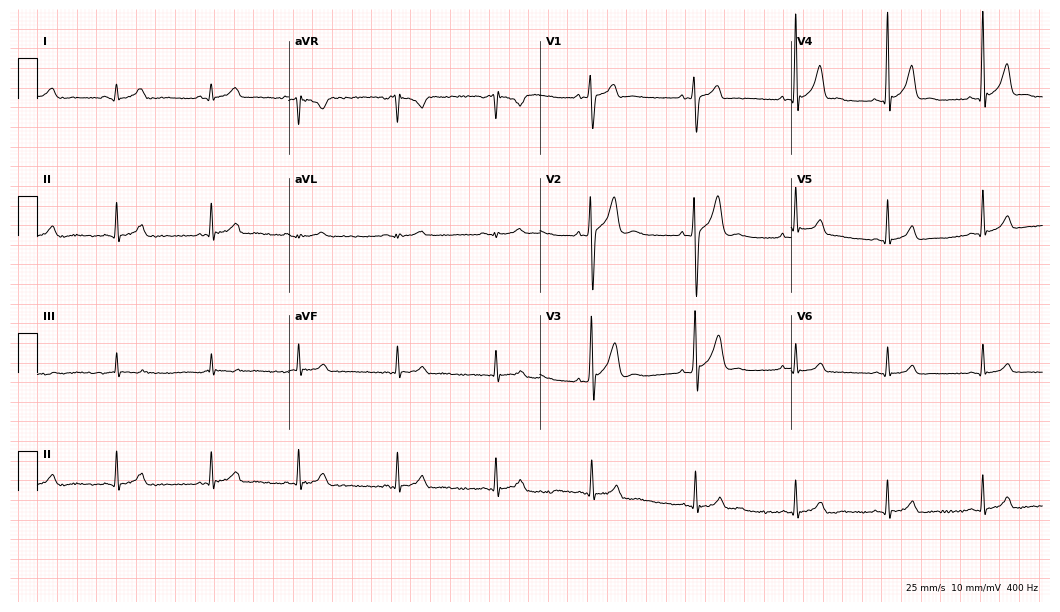
ECG (10.2-second recording at 400 Hz) — a 19-year-old man. Labelled as a normal ECG.